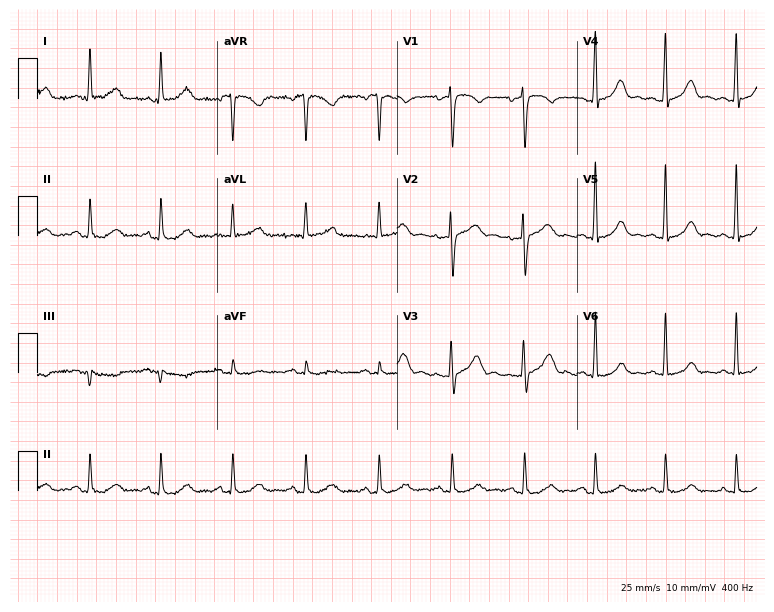
12-lead ECG from a 59-year-old female patient. Labelled as a normal ECG.